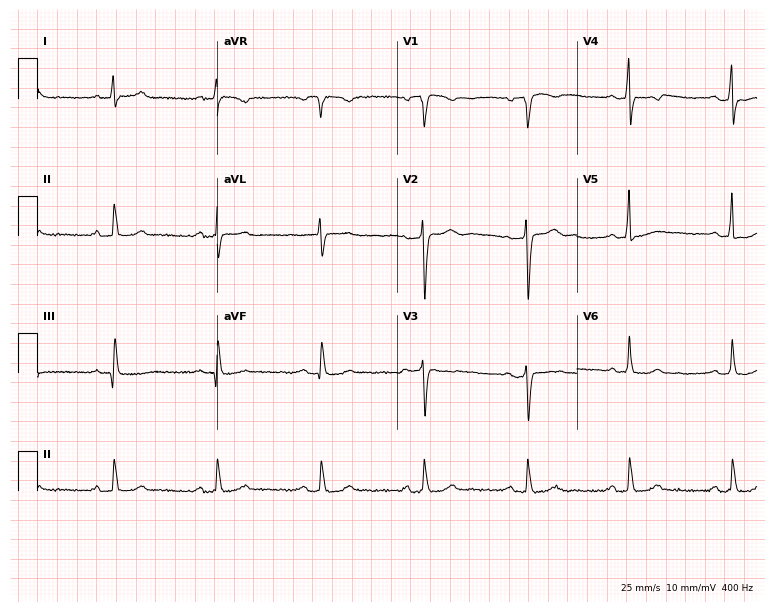
ECG (7.3-second recording at 400 Hz) — a 65-year-old male. Screened for six findings — first-degree AV block, right bundle branch block, left bundle branch block, sinus bradycardia, atrial fibrillation, sinus tachycardia — none is recorded.